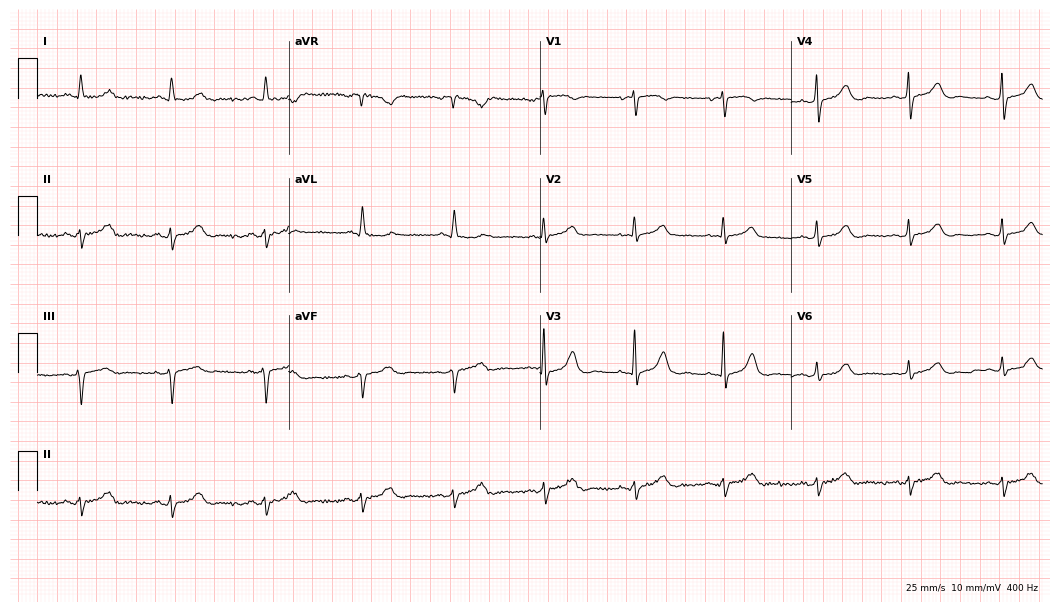
Standard 12-lead ECG recorded from a 69-year-old female patient (10.2-second recording at 400 Hz). None of these six findings is recorded: first-degree AV block, right bundle branch block (RBBB), left bundle branch block (LBBB), sinus bradycardia, atrial fibrillation (AF), sinus tachycardia. Other findings, if any, are not listed.